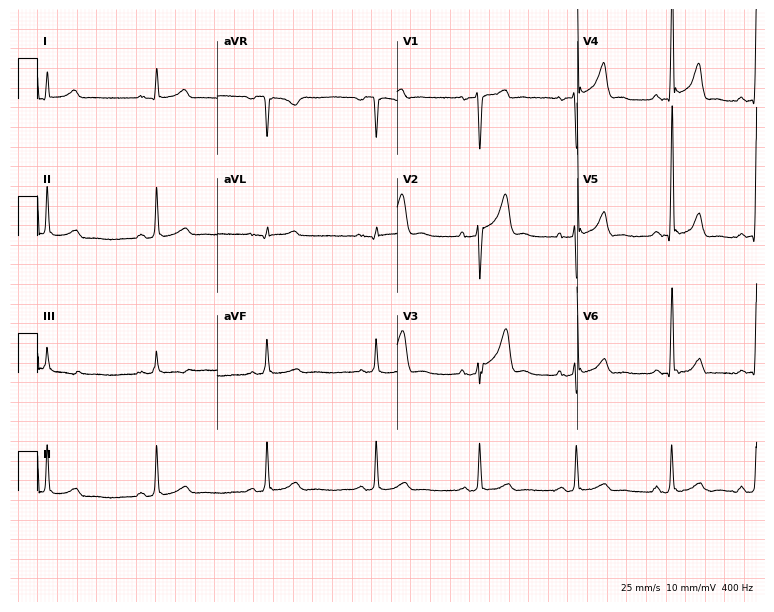
ECG (7.3-second recording at 400 Hz) — a man, 41 years old. Labelled as a normal ECG.